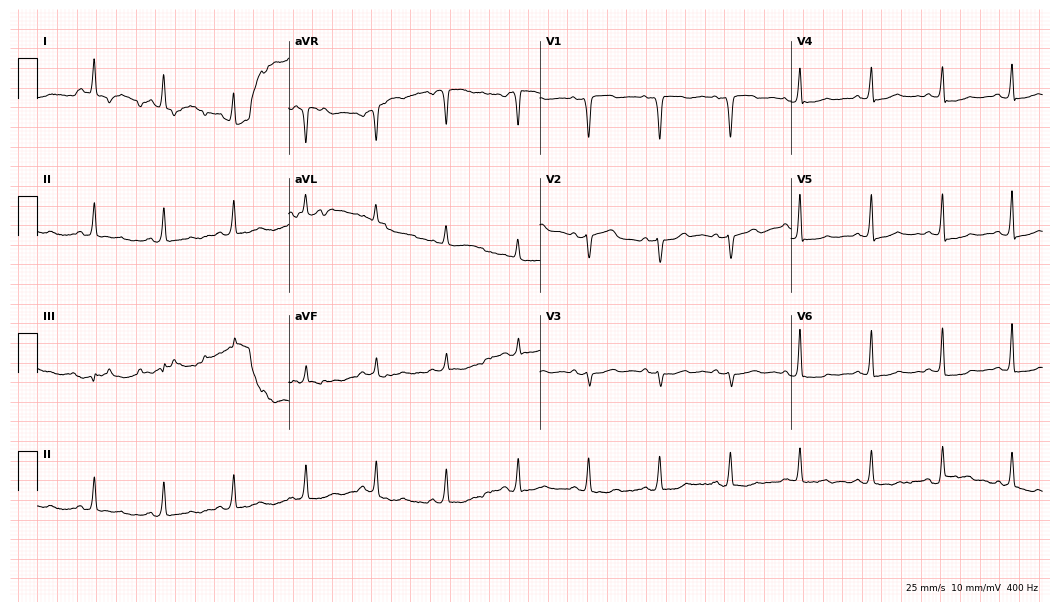
12-lead ECG from a woman, 66 years old (10.2-second recording at 400 Hz). No first-degree AV block, right bundle branch block, left bundle branch block, sinus bradycardia, atrial fibrillation or sinus tachycardia recorded for this tracing. Findings outside these six are not listed.